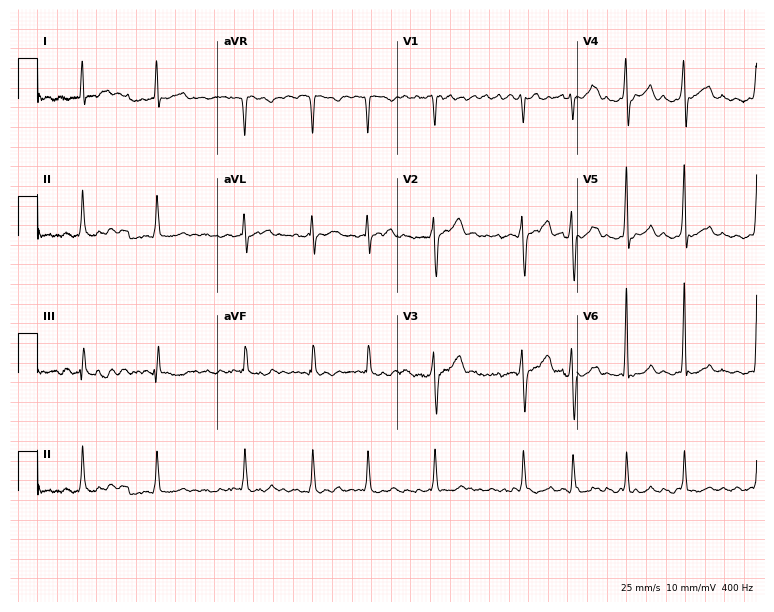
12-lead ECG from a 48-year-old male patient (7.3-second recording at 400 Hz). Shows atrial fibrillation.